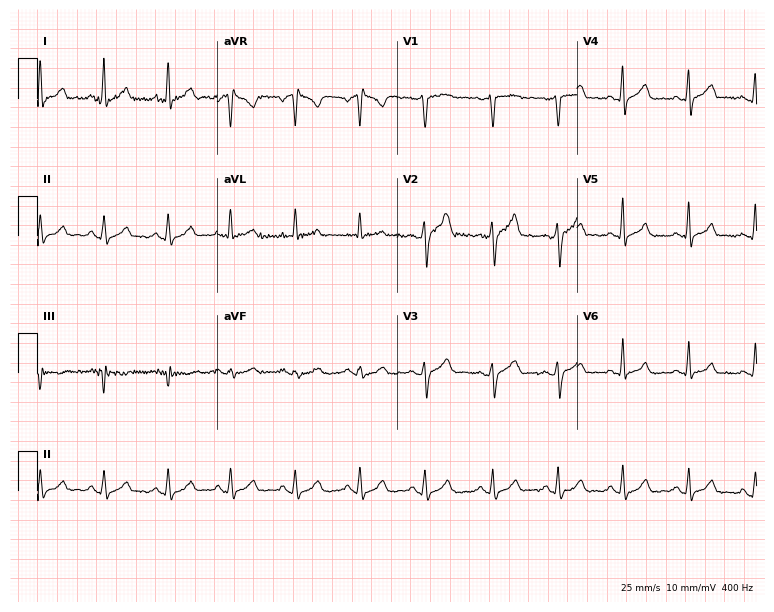
12-lead ECG from a male, 51 years old (7.3-second recording at 400 Hz). Recorded interpretation: within normal limits.